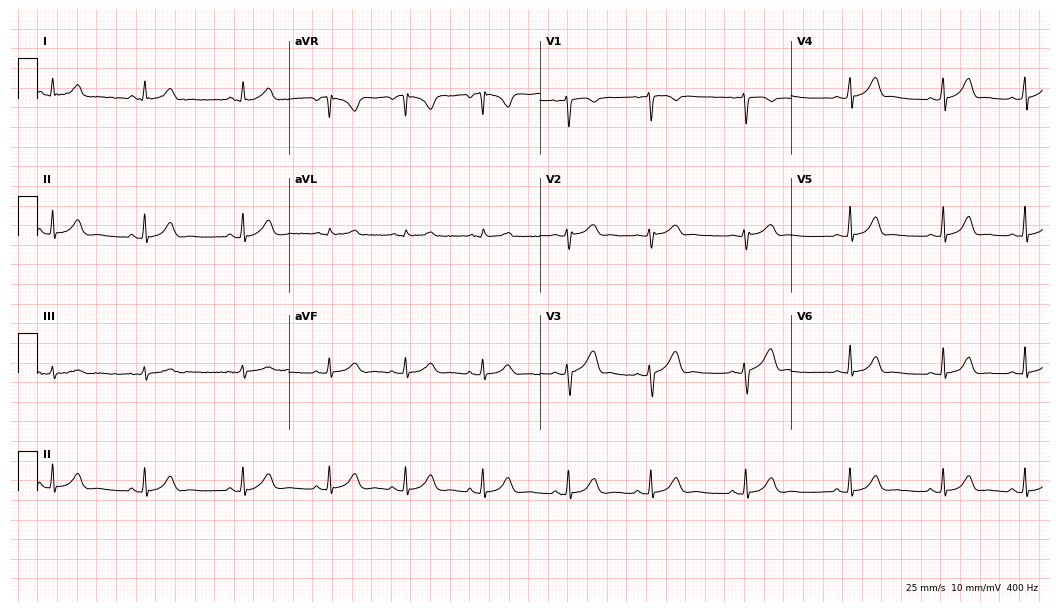
ECG (10.2-second recording at 400 Hz) — a female, 21 years old. Labelled as a normal ECG.